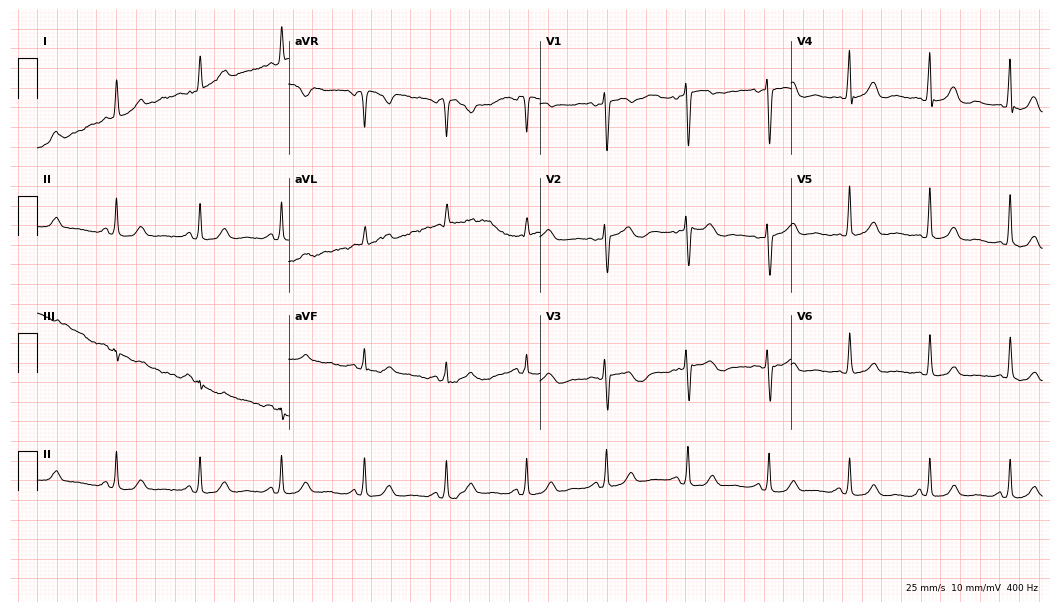
12-lead ECG from a 77-year-old female patient. Labelled as a normal ECG.